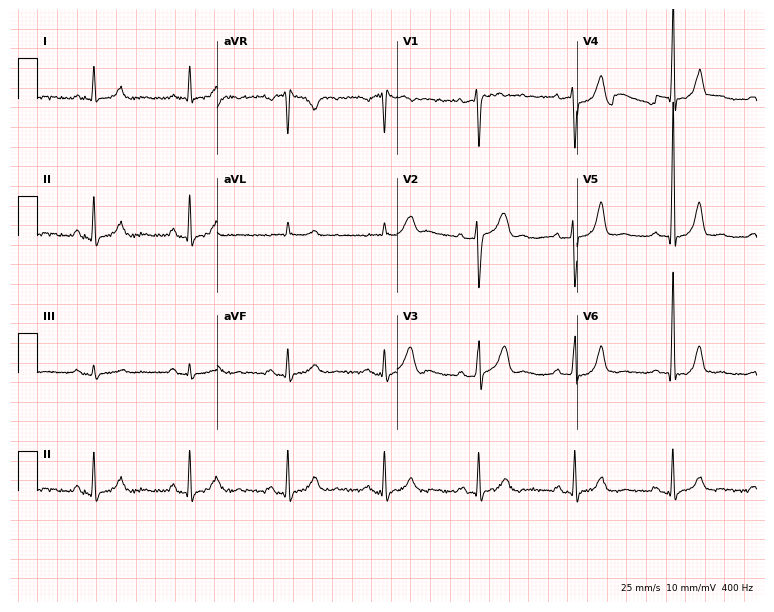
Electrocardiogram, a male, 59 years old. Of the six screened findings (first-degree AV block, right bundle branch block, left bundle branch block, sinus bradycardia, atrial fibrillation, sinus tachycardia), none is recorded. Only these six findings were labelled.